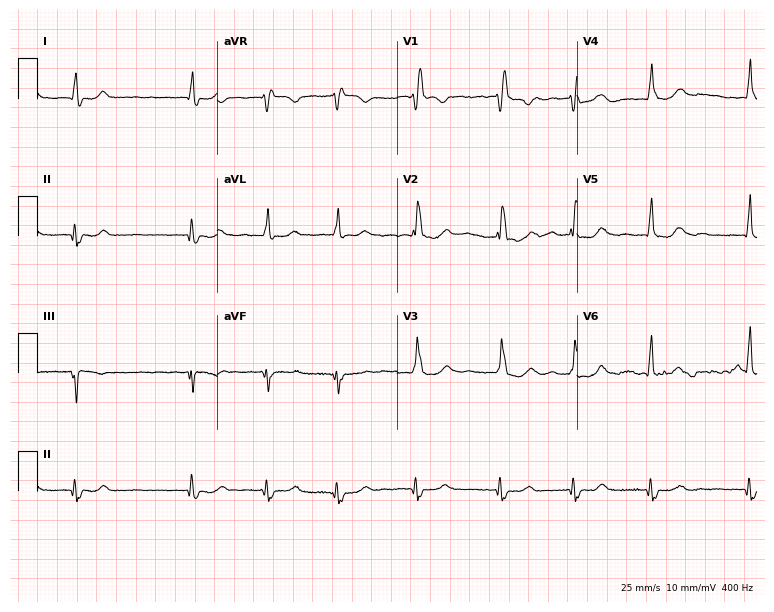
ECG (7.3-second recording at 400 Hz) — a female, 70 years old. Findings include right bundle branch block, atrial fibrillation.